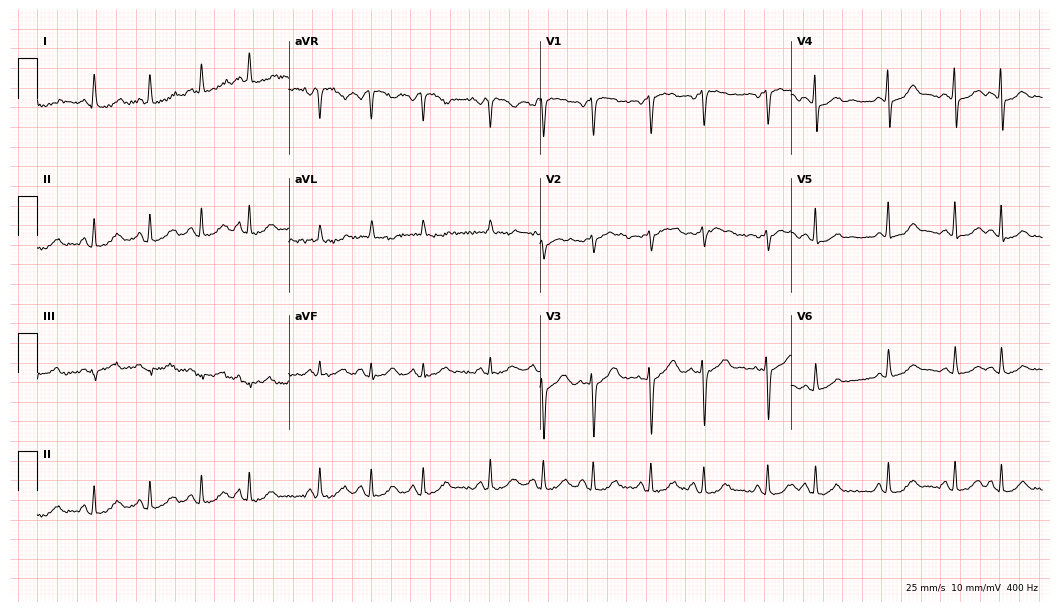
12-lead ECG from a 66-year-old female patient (10.2-second recording at 400 Hz). Shows sinus tachycardia (a sinus rate of 100 beats per minute or more).